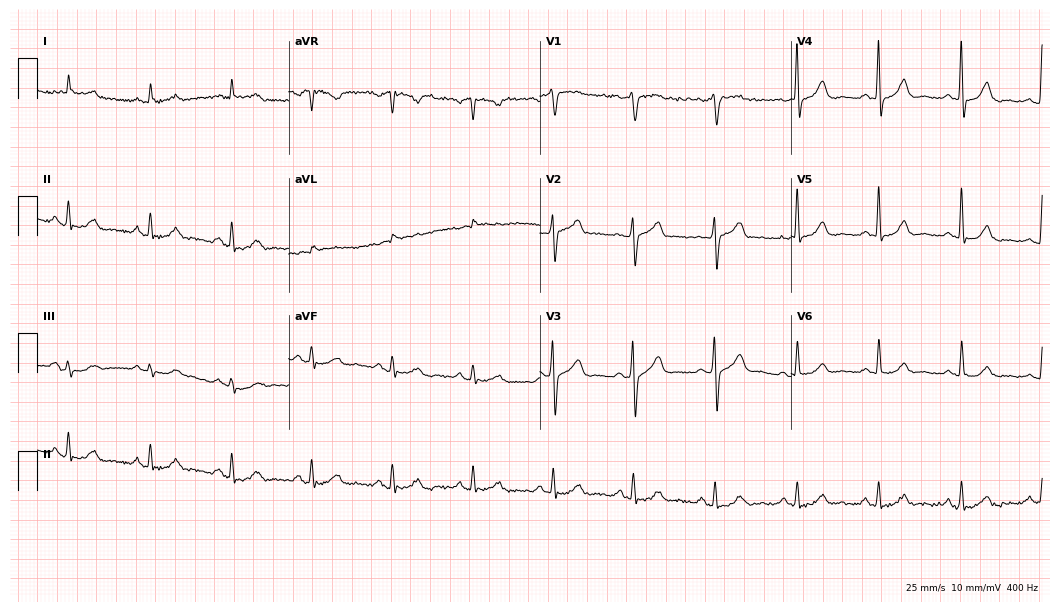
Resting 12-lead electrocardiogram (10.2-second recording at 400 Hz). Patient: an 85-year-old male. Read as a normal ECG.